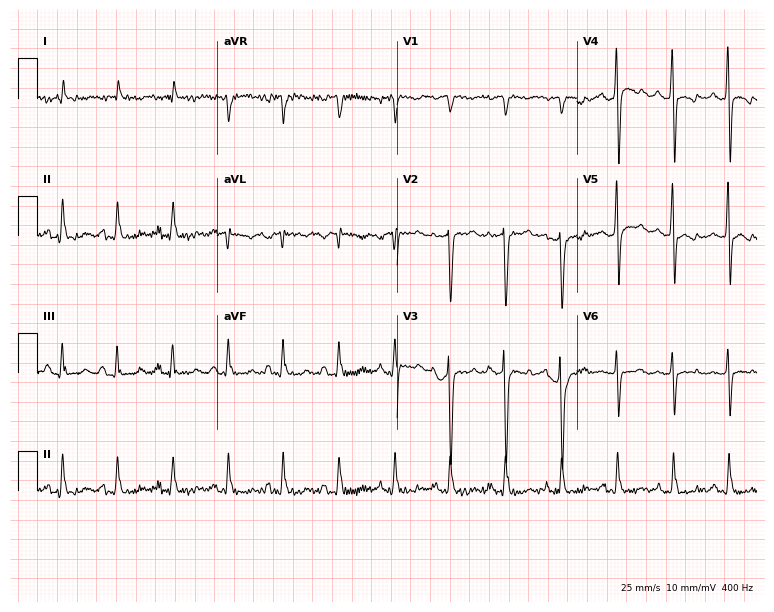
Resting 12-lead electrocardiogram (7.3-second recording at 400 Hz). Patient: a man, 59 years old. None of these six findings is recorded: first-degree AV block, right bundle branch block, left bundle branch block, sinus bradycardia, atrial fibrillation, sinus tachycardia.